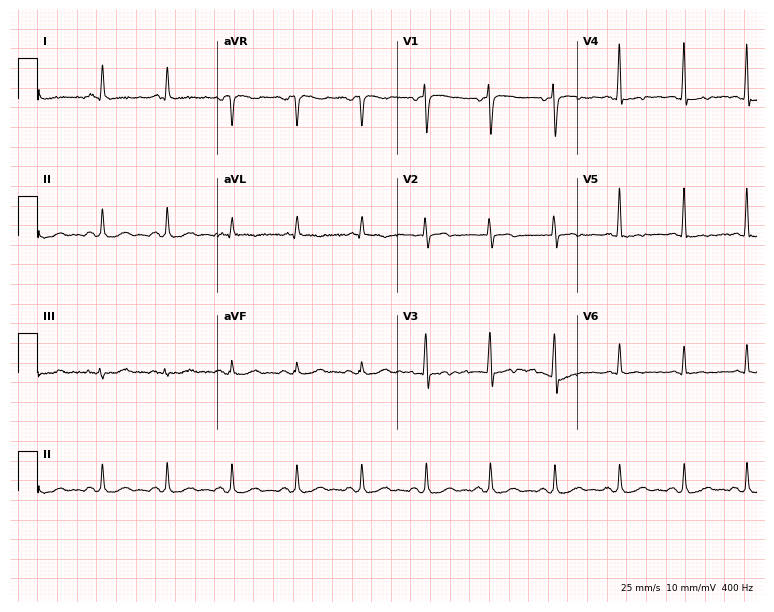
12-lead ECG from an 81-year-old male. No first-degree AV block, right bundle branch block, left bundle branch block, sinus bradycardia, atrial fibrillation or sinus tachycardia recorded for this tracing.